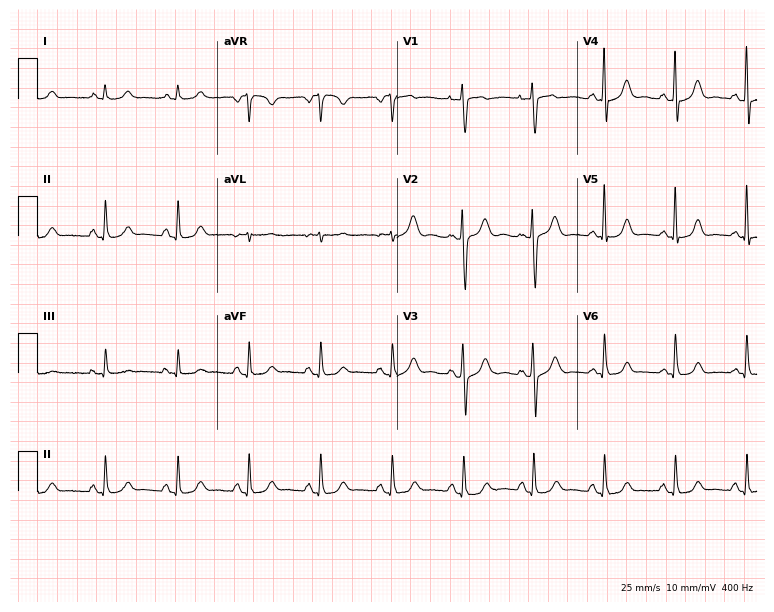
Electrocardiogram (7.3-second recording at 400 Hz), a woman, 33 years old. Overall reading on record: normal ECG.